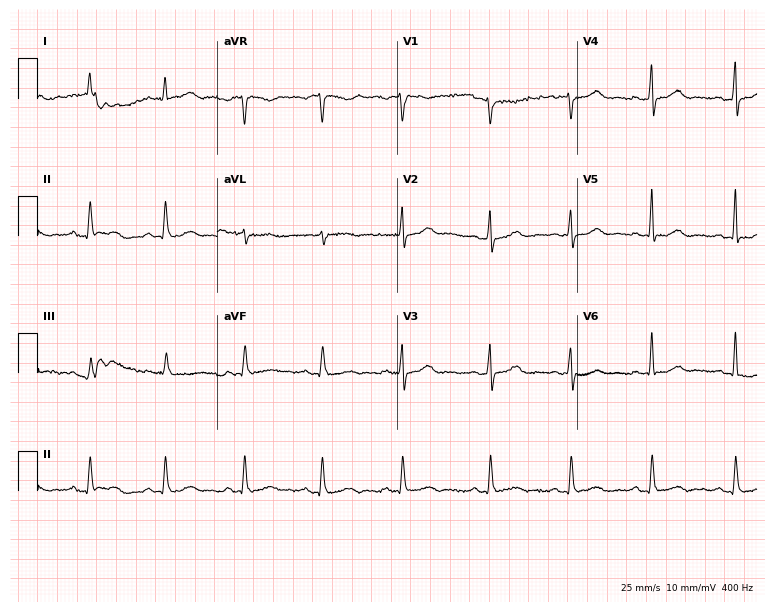
Electrocardiogram (7.3-second recording at 400 Hz), a woman, 48 years old. Of the six screened findings (first-degree AV block, right bundle branch block, left bundle branch block, sinus bradycardia, atrial fibrillation, sinus tachycardia), none is recorded.